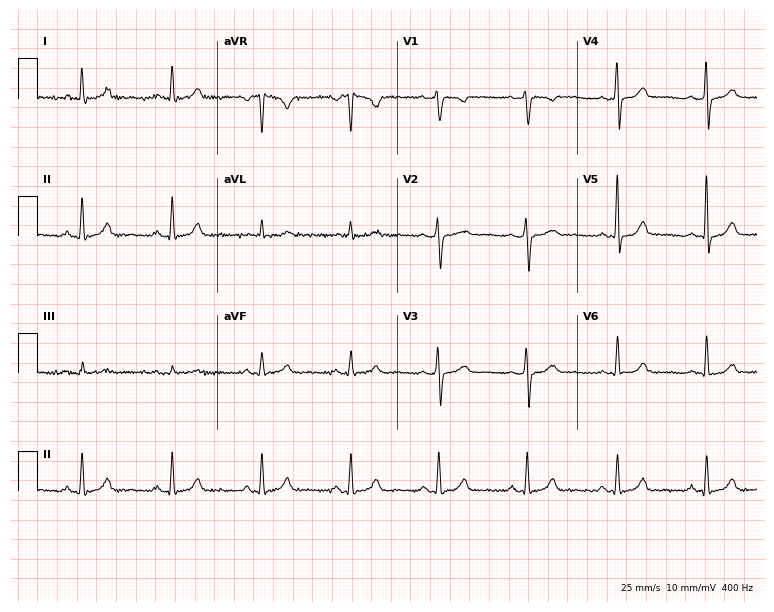
Resting 12-lead electrocardiogram. Patient: a 52-year-old female. Read as a normal ECG.